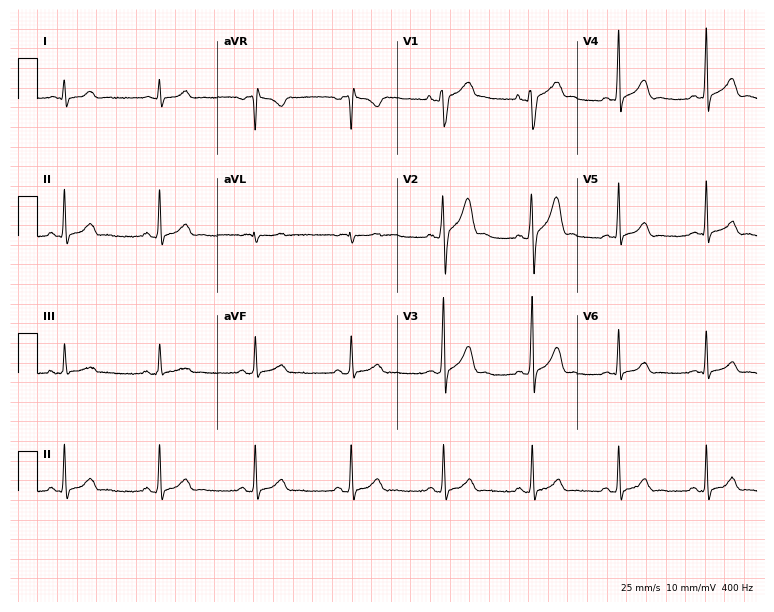
12-lead ECG from a man, 31 years old. Recorded interpretation: within normal limits.